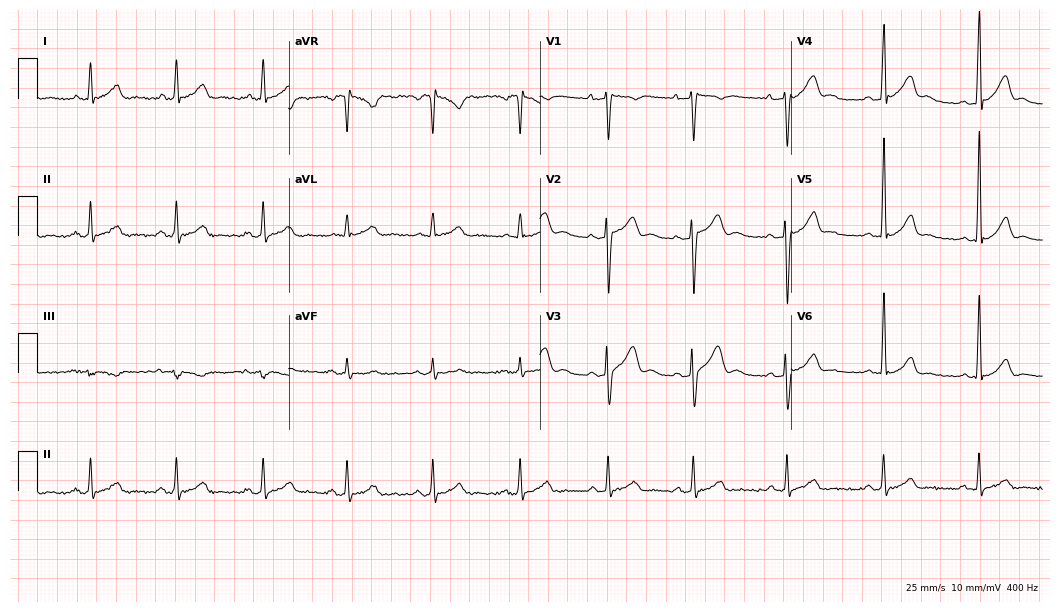
Resting 12-lead electrocardiogram. Patient: a male, 37 years old. None of these six findings is recorded: first-degree AV block, right bundle branch block (RBBB), left bundle branch block (LBBB), sinus bradycardia, atrial fibrillation (AF), sinus tachycardia.